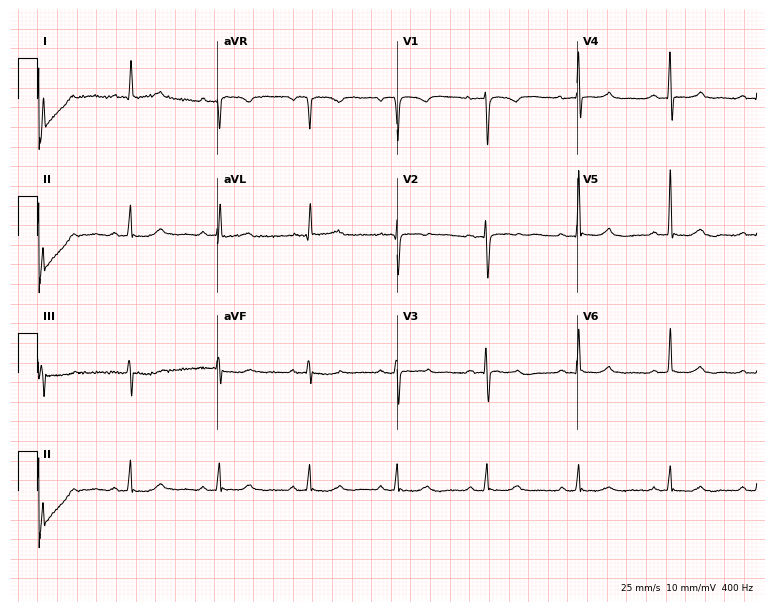
Resting 12-lead electrocardiogram. Patient: a 56-year-old female. None of these six findings is recorded: first-degree AV block, right bundle branch block, left bundle branch block, sinus bradycardia, atrial fibrillation, sinus tachycardia.